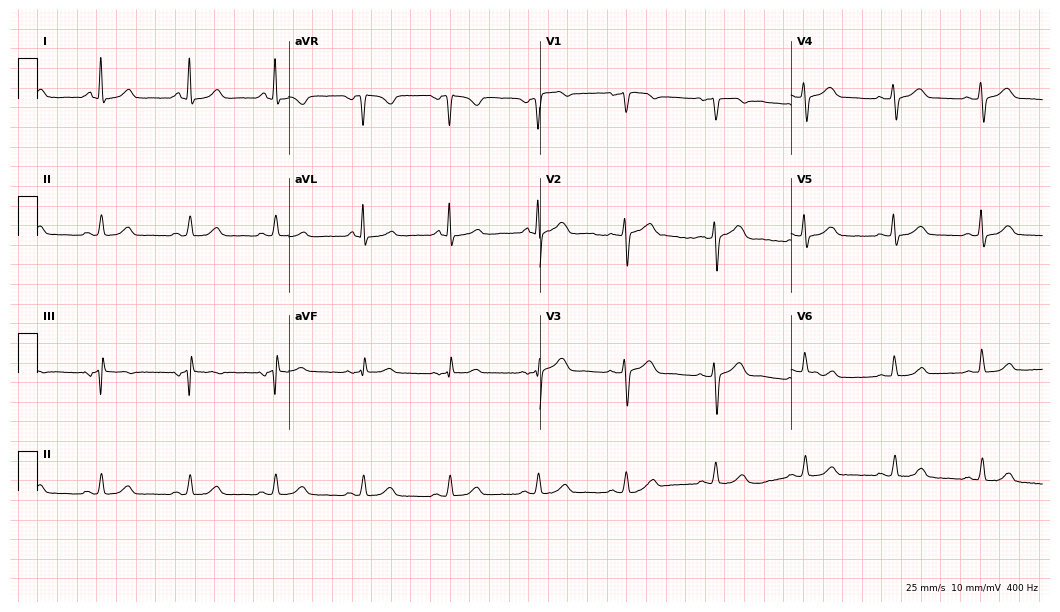
Electrocardiogram (10.2-second recording at 400 Hz), a 59-year-old female. Overall reading on record: normal ECG.